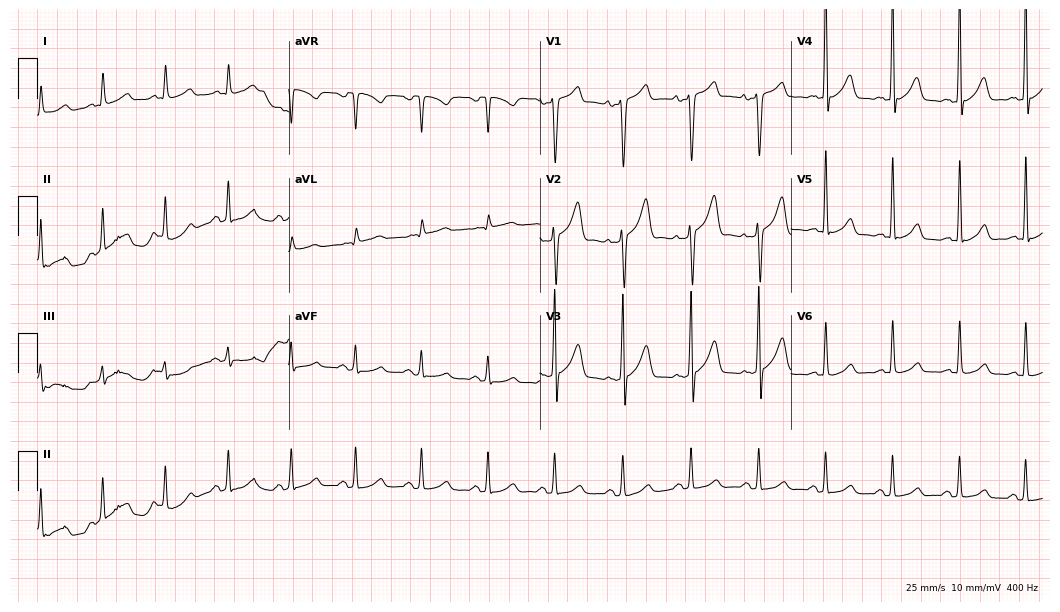
12-lead ECG from a male, 42 years old. Labelled as a normal ECG.